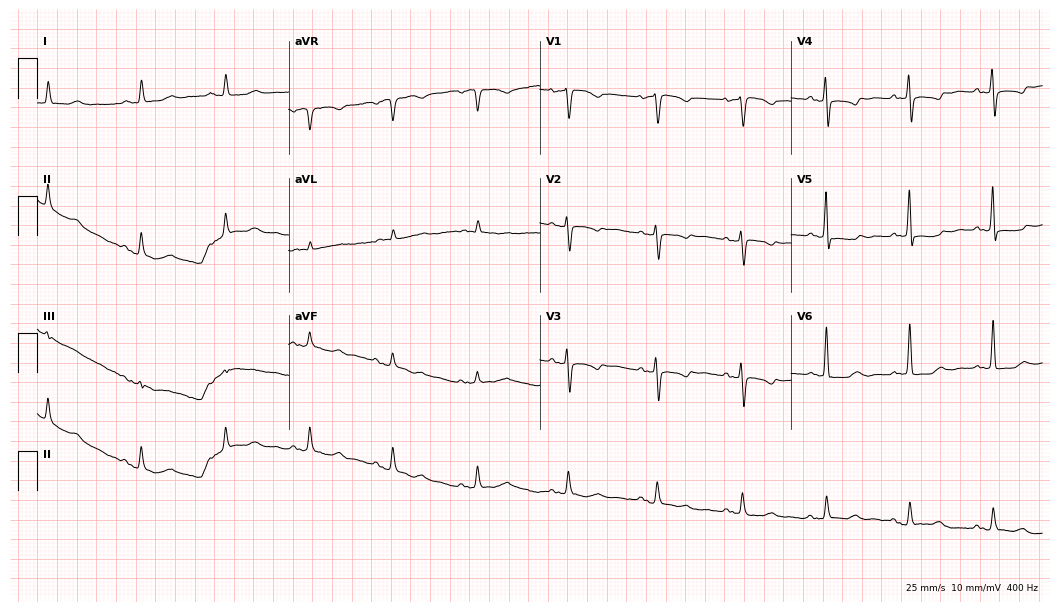
Electrocardiogram, an 83-year-old woman. Of the six screened findings (first-degree AV block, right bundle branch block, left bundle branch block, sinus bradycardia, atrial fibrillation, sinus tachycardia), none is recorded. Only these six findings were labelled.